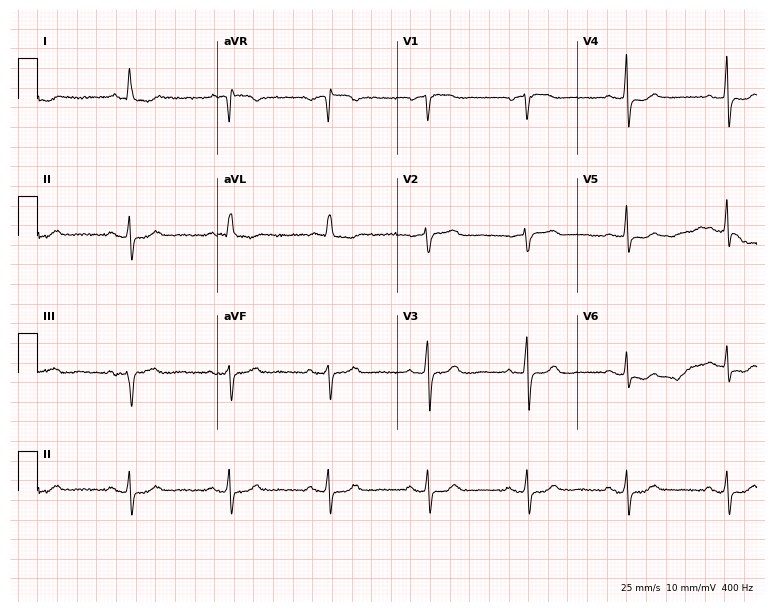
Resting 12-lead electrocardiogram. Patient: a 66-year-old female. None of these six findings is recorded: first-degree AV block, right bundle branch block, left bundle branch block, sinus bradycardia, atrial fibrillation, sinus tachycardia.